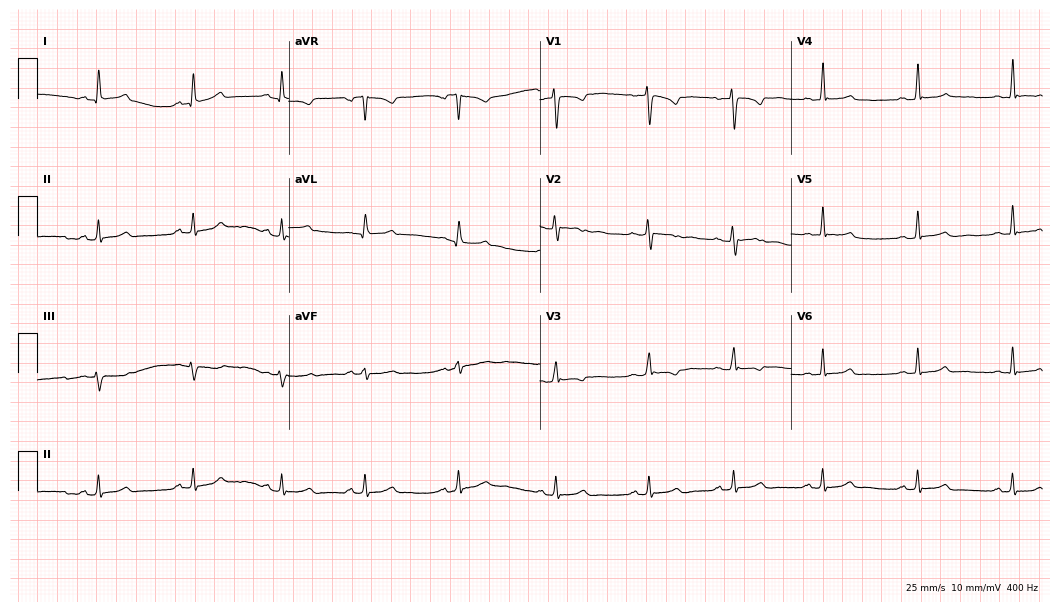
ECG (10.2-second recording at 400 Hz) — a 17-year-old woman. Screened for six findings — first-degree AV block, right bundle branch block (RBBB), left bundle branch block (LBBB), sinus bradycardia, atrial fibrillation (AF), sinus tachycardia — none is recorded.